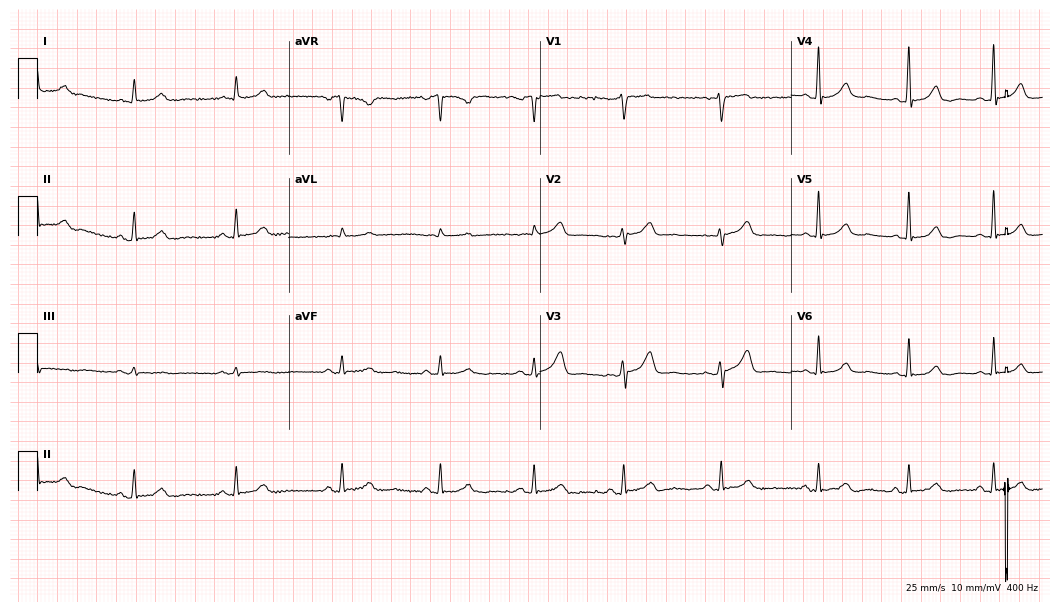
Resting 12-lead electrocardiogram (10.2-second recording at 400 Hz). Patient: a 49-year-old female. Read as a normal ECG.